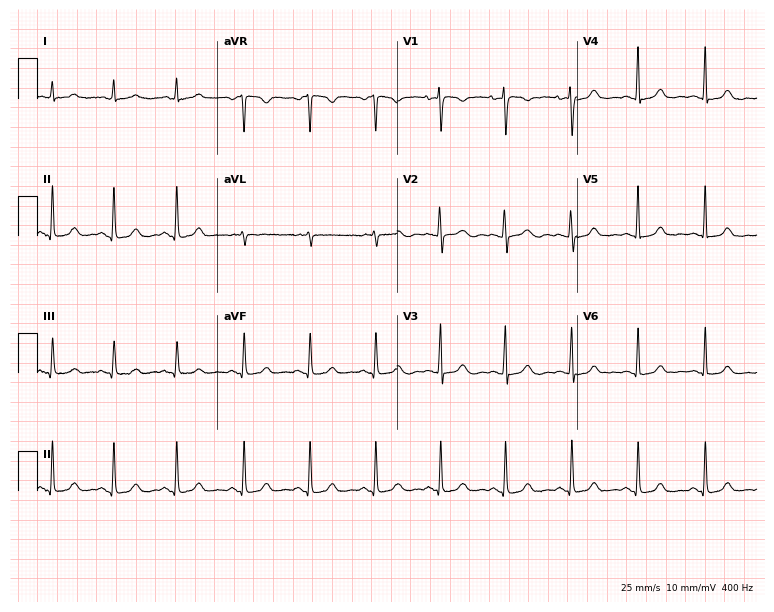
Electrocardiogram (7.3-second recording at 400 Hz), a 44-year-old female. Overall reading on record: normal ECG.